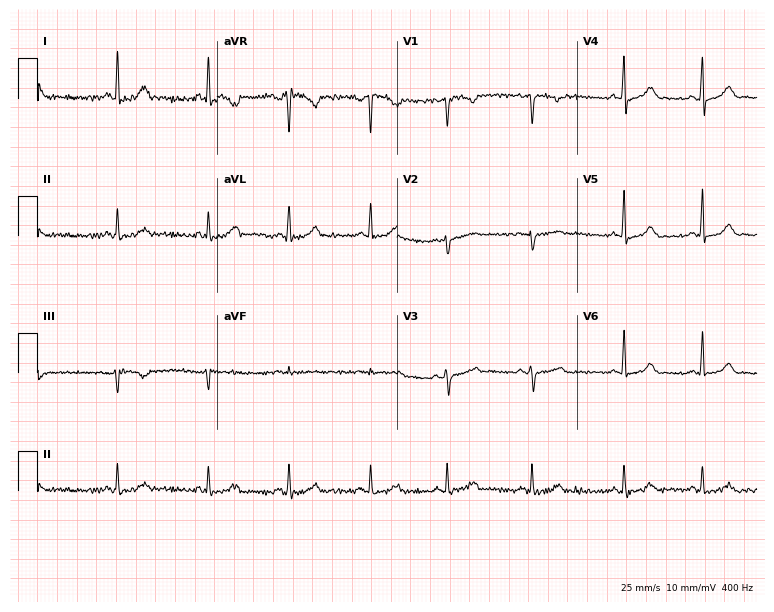
12-lead ECG (7.3-second recording at 400 Hz) from a 25-year-old female. Labelled as a normal ECG.